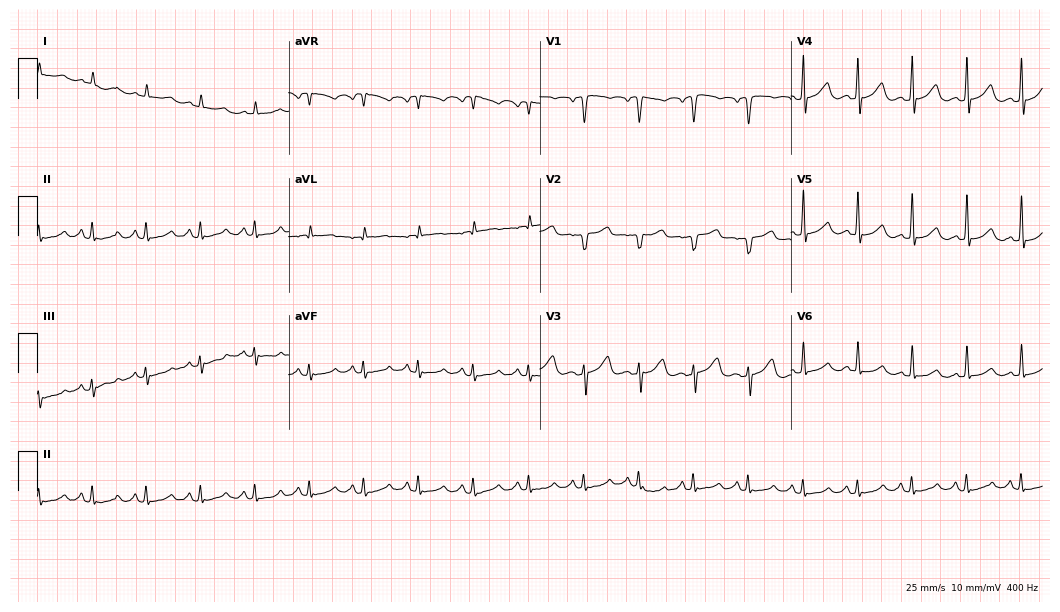
12-lead ECG from a 64-year-old male. No first-degree AV block, right bundle branch block, left bundle branch block, sinus bradycardia, atrial fibrillation or sinus tachycardia recorded for this tracing.